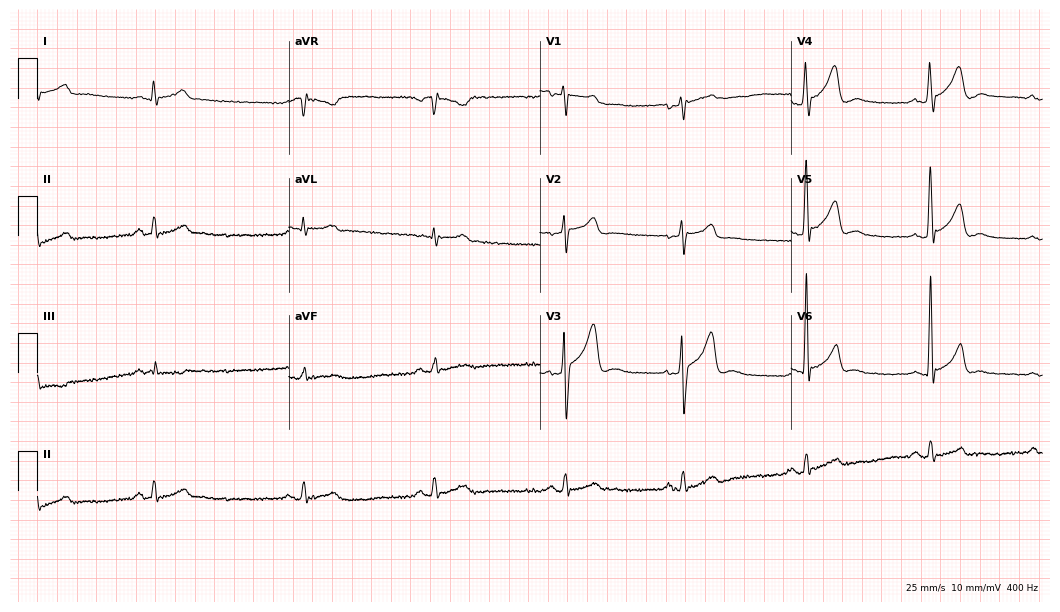
Standard 12-lead ECG recorded from a 47-year-old male patient. None of these six findings is recorded: first-degree AV block, right bundle branch block (RBBB), left bundle branch block (LBBB), sinus bradycardia, atrial fibrillation (AF), sinus tachycardia. Only these six findings were labelled.